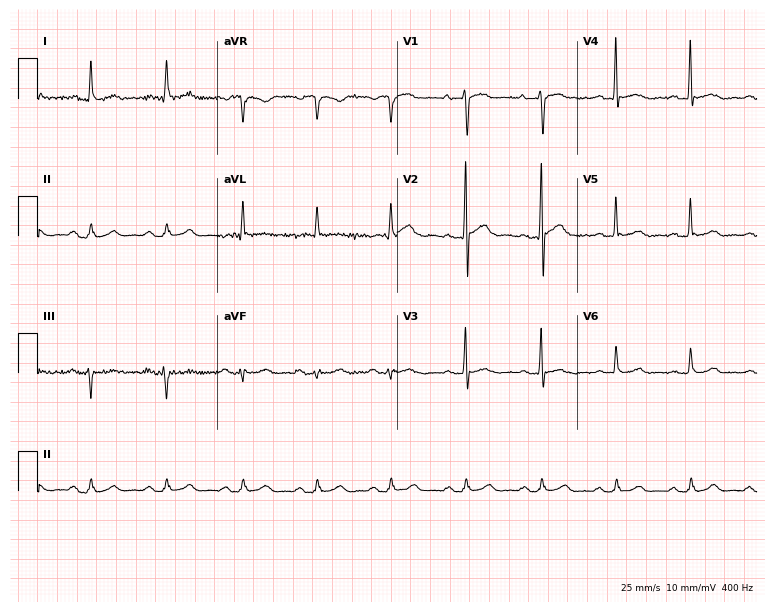
ECG (7.3-second recording at 400 Hz) — a man, 73 years old. Labelled as a normal ECG.